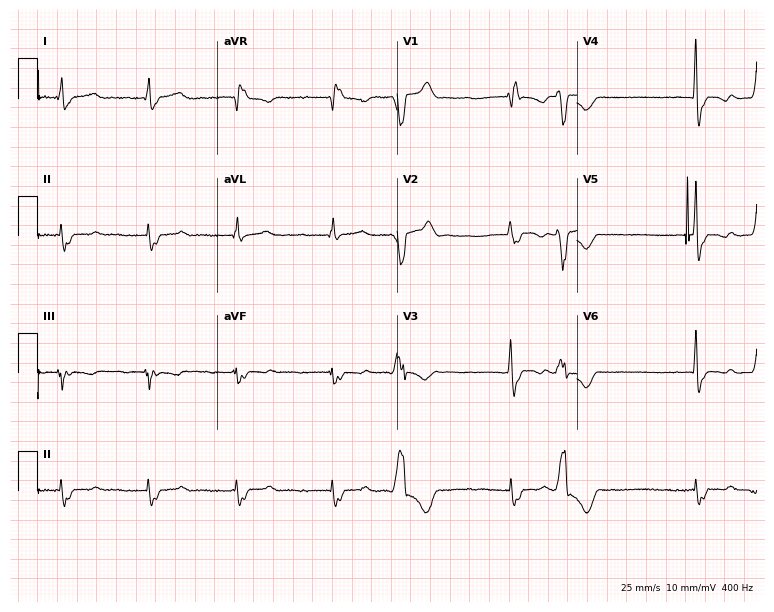
Resting 12-lead electrocardiogram (7.3-second recording at 400 Hz). Patient: a 43-year-old female. The tracing shows right bundle branch block (RBBB), atrial fibrillation (AF).